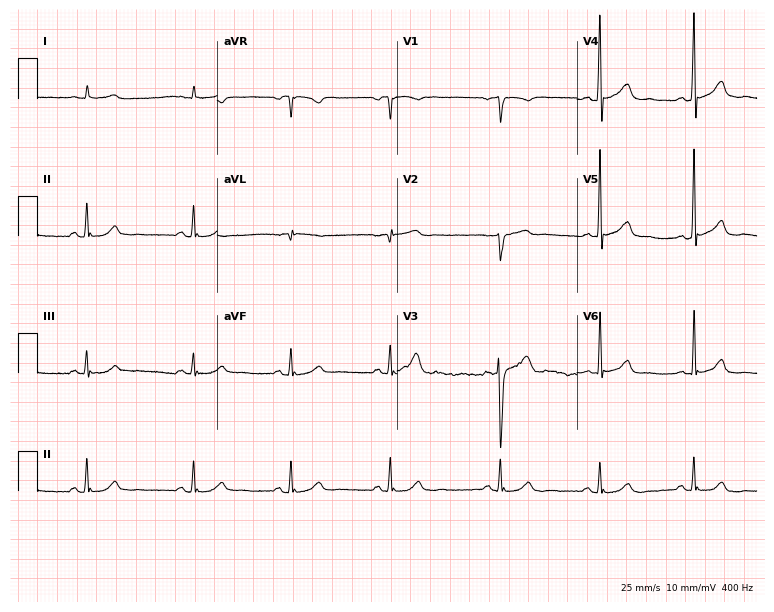
12-lead ECG from a man, 49 years old. Recorded interpretation: within normal limits.